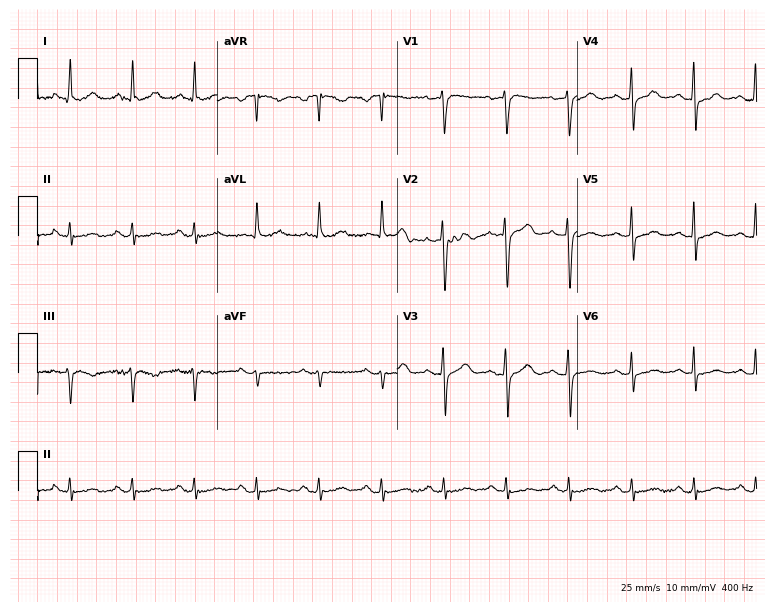
12-lead ECG from an 85-year-old male. No first-degree AV block, right bundle branch block (RBBB), left bundle branch block (LBBB), sinus bradycardia, atrial fibrillation (AF) or sinus tachycardia recorded for this tracing.